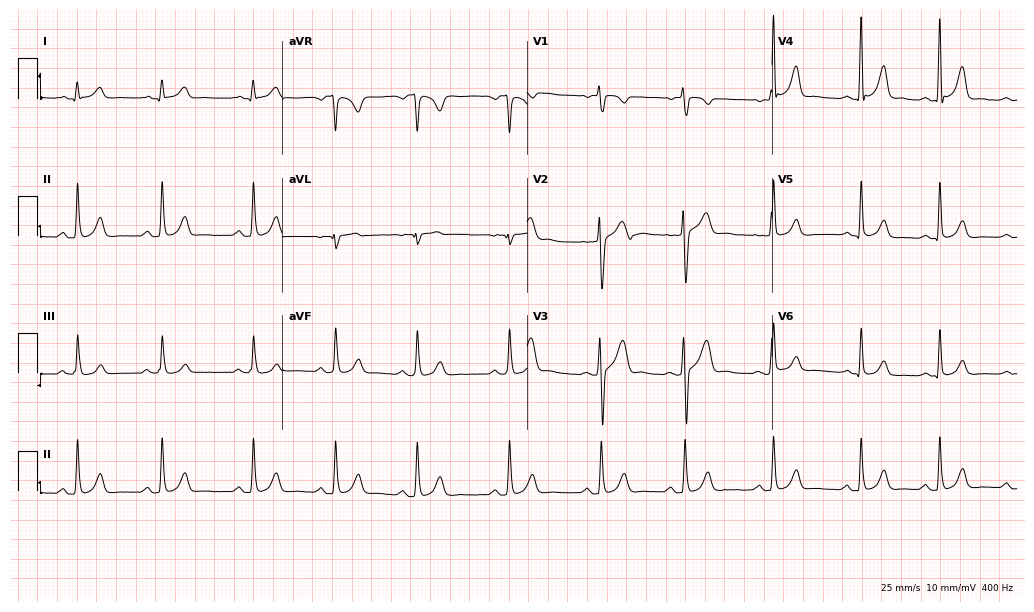
Electrocardiogram, a 21-year-old male. Of the six screened findings (first-degree AV block, right bundle branch block (RBBB), left bundle branch block (LBBB), sinus bradycardia, atrial fibrillation (AF), sinus tachycardia), none is recorded.